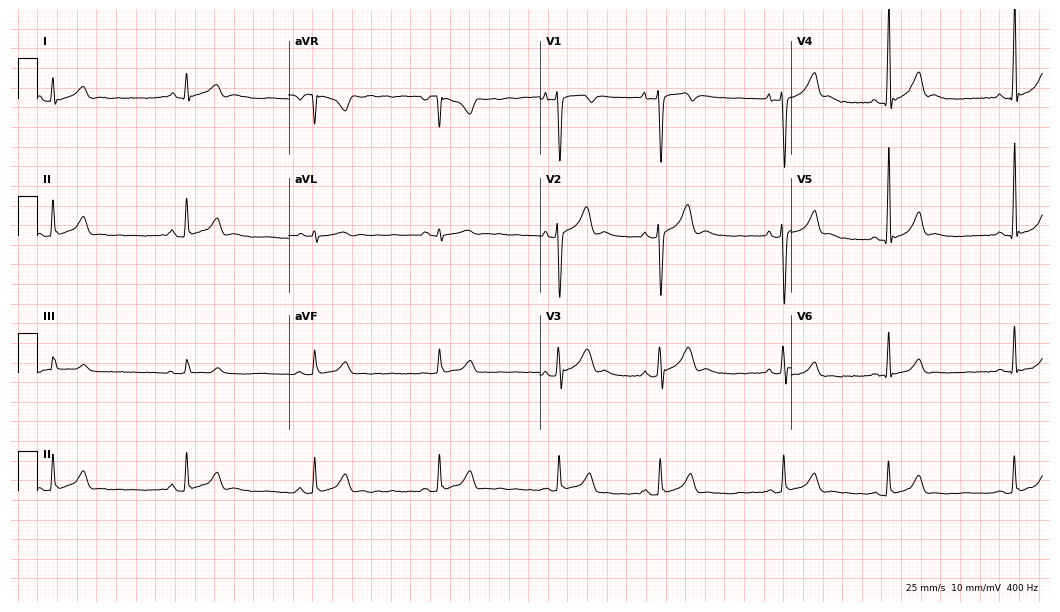
Standard 12-lead ECG recorded from a male, 18 years old. None of these six findings is recorded: first-degree AV block, right bundle branch block, left bundle branch block, sinus bradycardia, atrial fibrillation, sinus tachycardia.